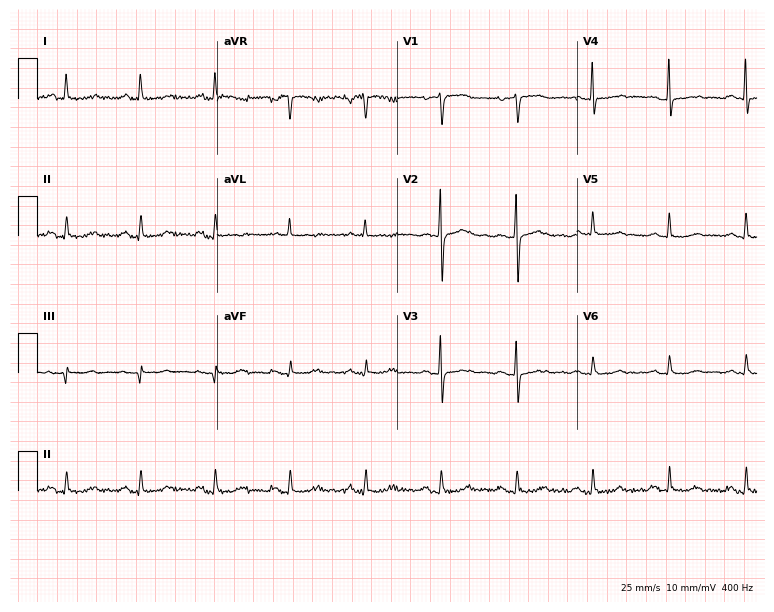
12-lead ECG from a woman, 72 years old (7.3-second recording at 400 Hz). No first-degree AV block, right bundle branch block (RBBB), left bundle branch block (LBBB), sinus bradycardia, atrial fibrillation (AF) or sinus tachycardia recorded for this tracing. Findings outside these six are not listed.